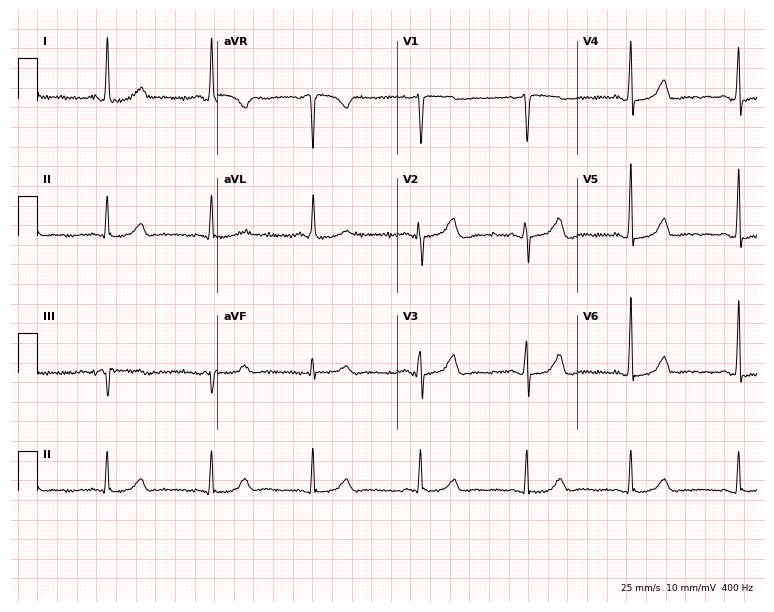
12-lead ECG from a woman, 50 years old (7.3-second recording at 400 Hz). Recorded interpretation: within normal limits.